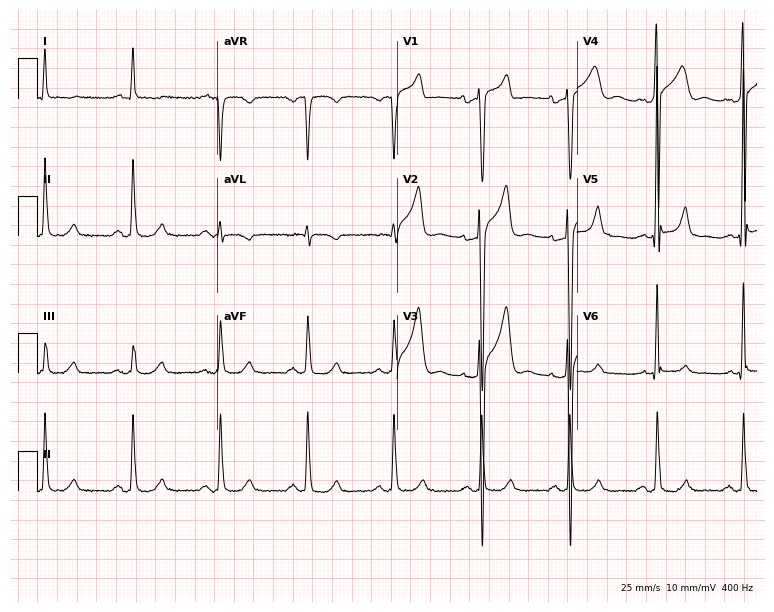
Standard 12-lead ECG recorded from a male, 32 years old (7.3-second recording at 400 Hz). None of these six findings is recorded: first-degree AV block, right bundle branch block, left bundle branch block, sinus bradycardia, atrial fibrillation, sinus tachycardia.